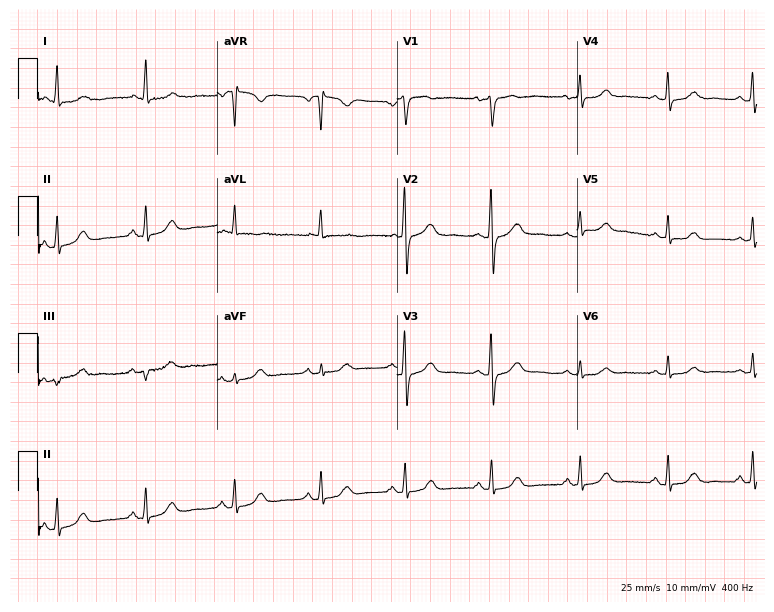
ECG (7.3-second recording at 400 Hz) — a female patient, 64 years old. Labelled as a normal ECG.